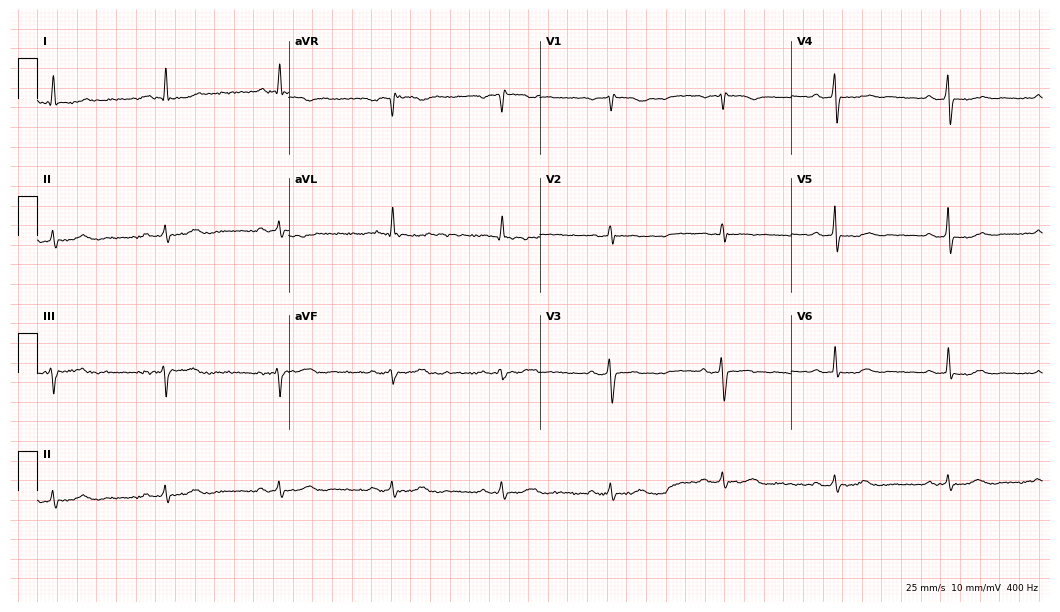
Electrocardiogram, a female, 55 years old. Of the six screened findings (first-degree AV block, right bundle branch block (RBBB), left bundle branch block (LBBB), sinus bradycardia, atrial fibrillation (AF), sinus tachycardia), none is recorded. Other findings, if any, are not listed.